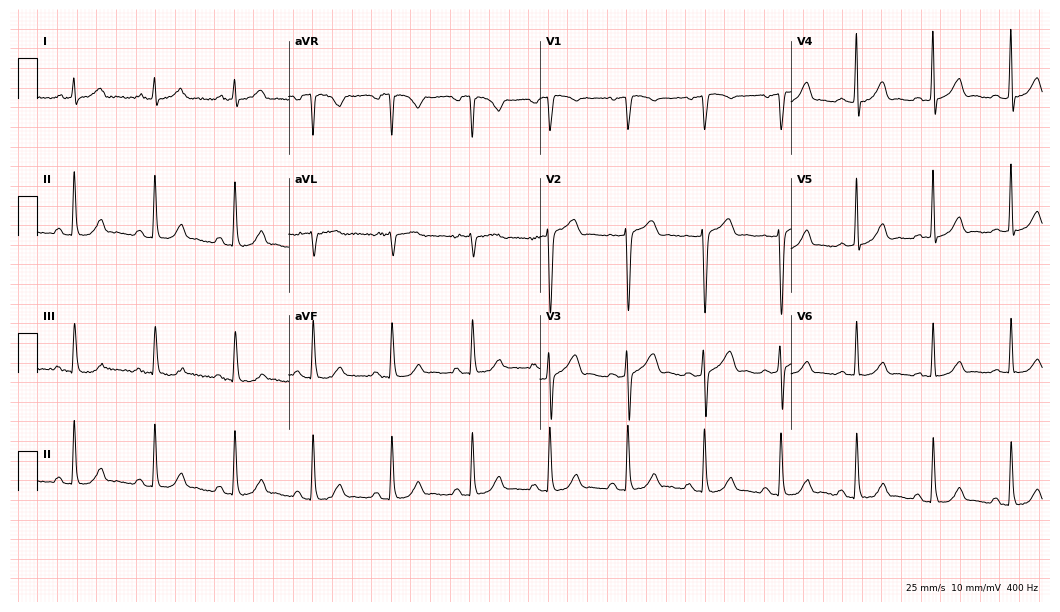
12-lead ECG from a 58-year-old male patient. Labelled as a normal ECG.